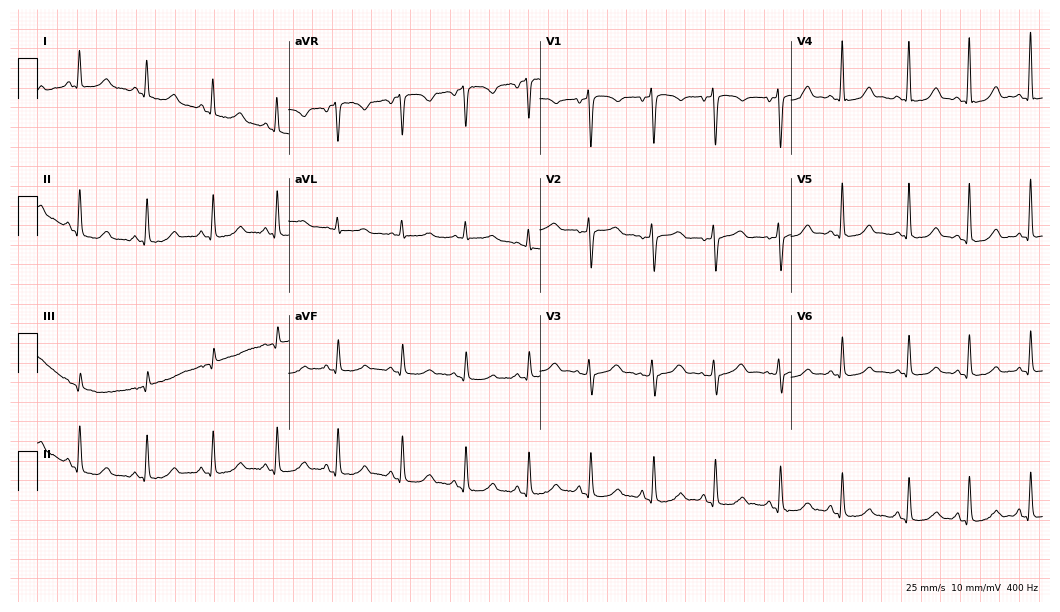
12-lead ECG (10.2-second recording at 400 Hz) from a 62-year-old female. Screened for six findings — first-degree AV block, right bundle branch block, left bundle branch block, sinus bradycardia, atrial fibrillation, sinus tachycardia — none is recorded.